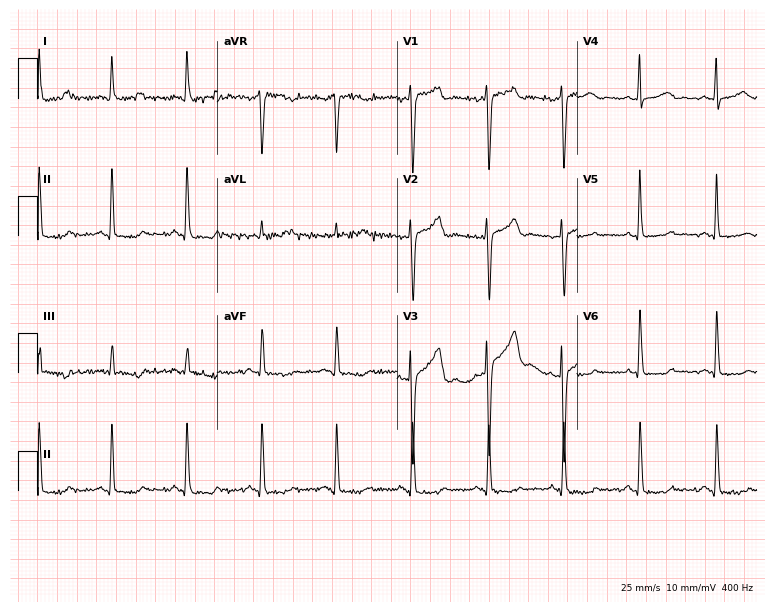
Electrocardiogram, a female, 44 years old. Of the six screened findings (first-degree AV block, right bundle branch block, left bundle branch block, sinus bradycardia, atrial fibrillation, sinus tachycardia), none is recorded.